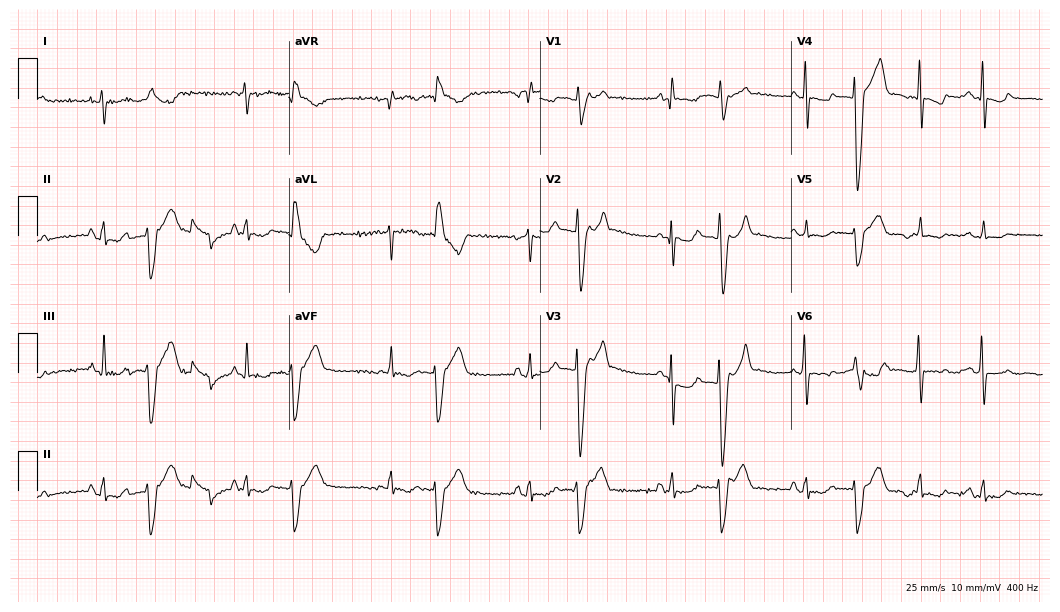
12-lead ECG from a 75-year-old female. Screened for six findings — first-degree AV block, right bundle branch block, left bundle branch block, sinus bradycardia, atrial fibrillation, sinus tachycardia — none is recorded. Only these six findings were labelled.